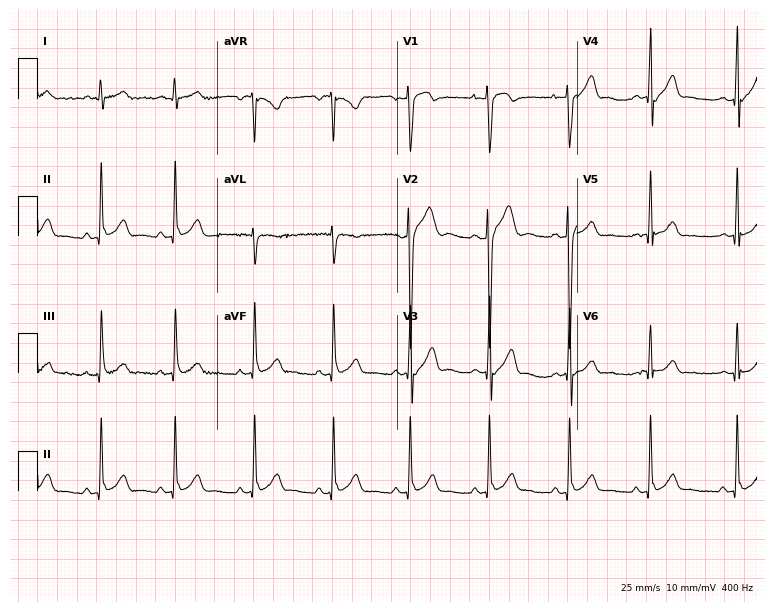
ECG (7.3-second recording at 400 Hz) — a man, 18 years old. Screened for six findings — first-degree AV block, right bundle branch block (RBBB), left bundle branch block (LBBB), sinus bradycardia, atrial fibrillation (AF), sinus tachycardia — none is recorded. Other findings, if any, are not listed.